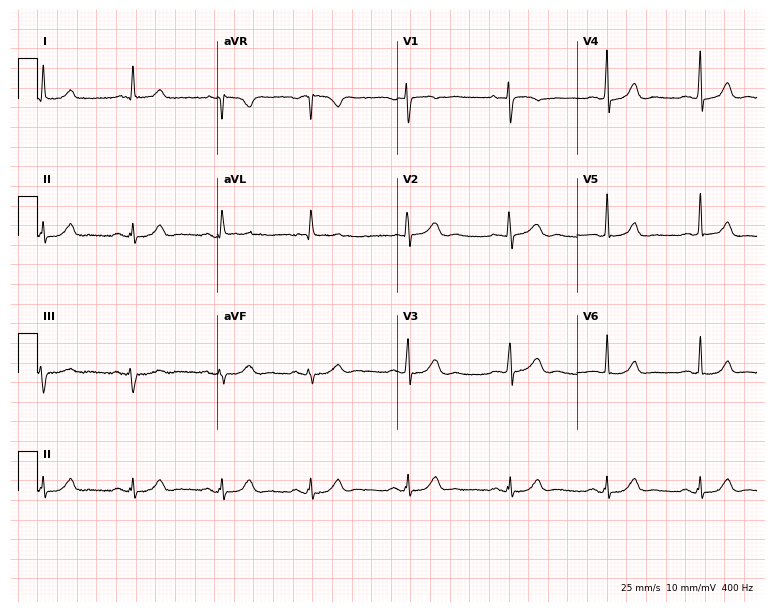
12-lead ECG from a 79-year-old woman. Recorded interpretation: within normal limits.